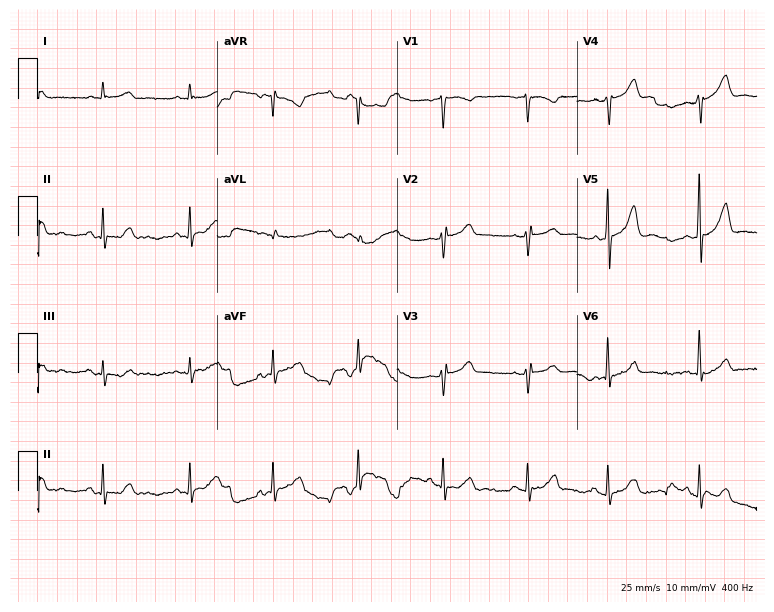
12-lead ECG (7.3-second recording at 400 Hz) from a 55-year-old male. Screened for six findings — first-degree AV block, right bundle branch block, left bundle branch block, sinus bradycardia, atrial fibrillation, sinus tachycardia — none is recorded. Other findings, if any, are not listed.